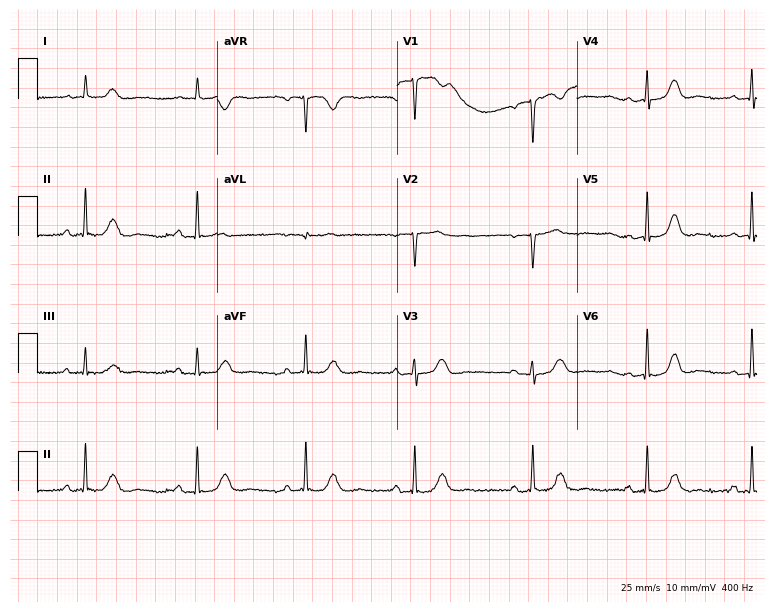
Standard 12-lead ECG recorded from a female patient, 69 years old. Read as a normal ECG.